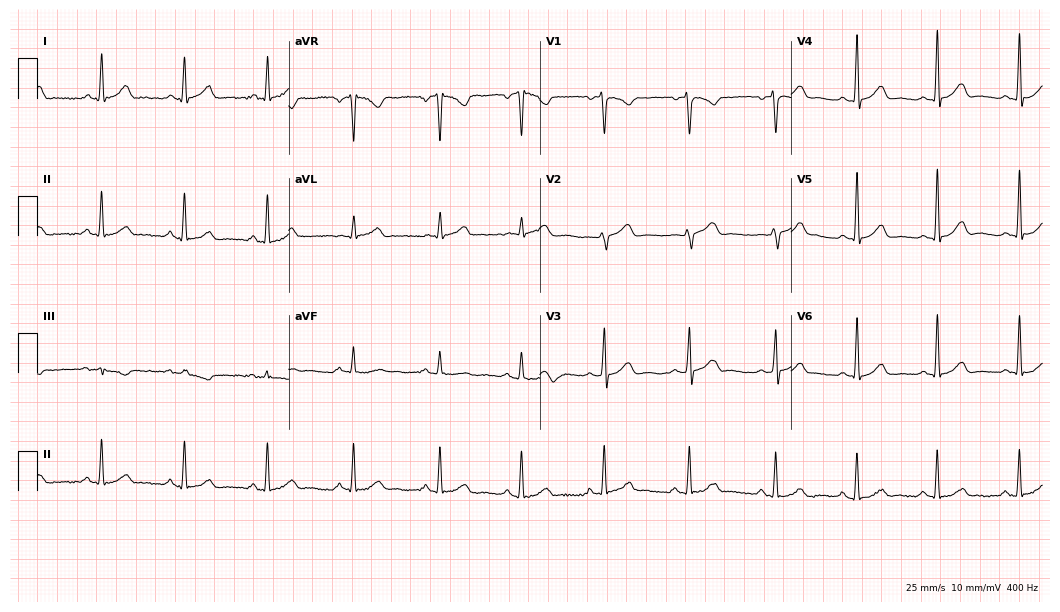
Resting 12-lead electrocardiogram (10.2-second recording at 400 Hz). Patient: a 46-year-old female. Read as a normal ECG.